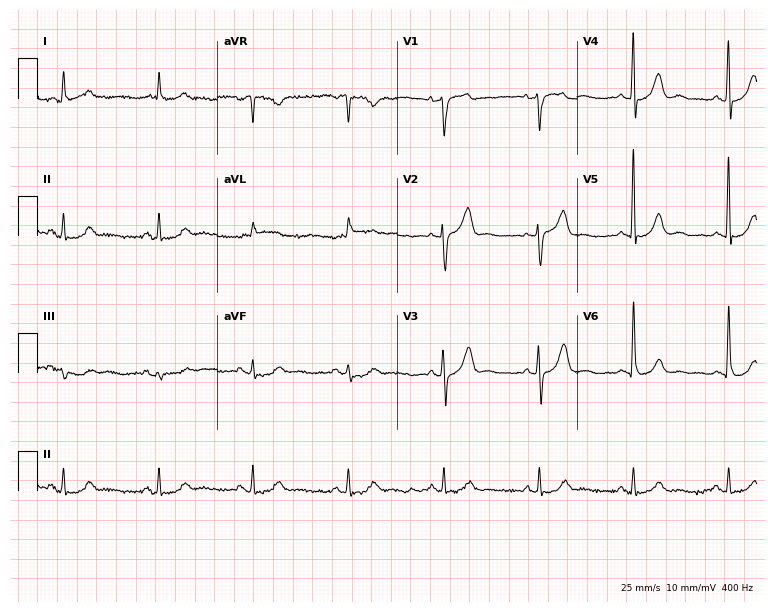
Electrocardiogram (7.3-second recording at 400 Hz), an 83-year-old male patient. Overall reading on record: normal ECG.